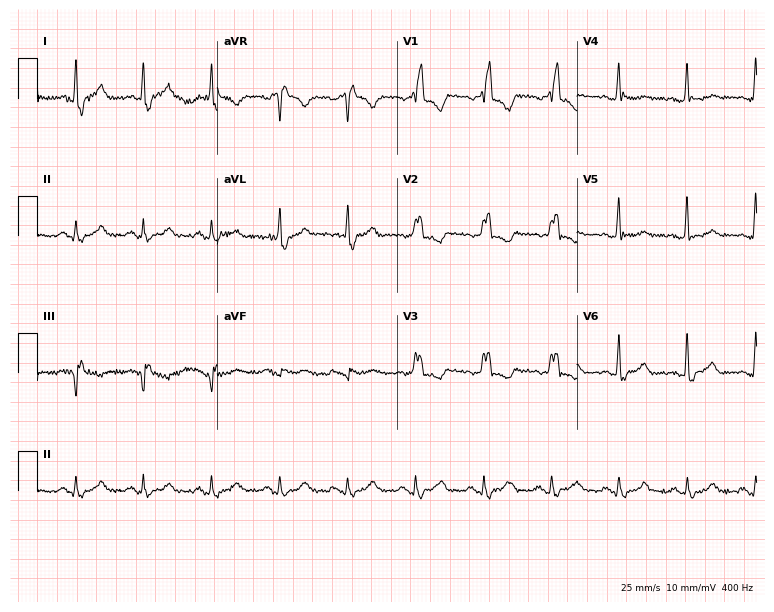
ECG — a female, 73 years old. Findings include right bundle branch block (RBBB).